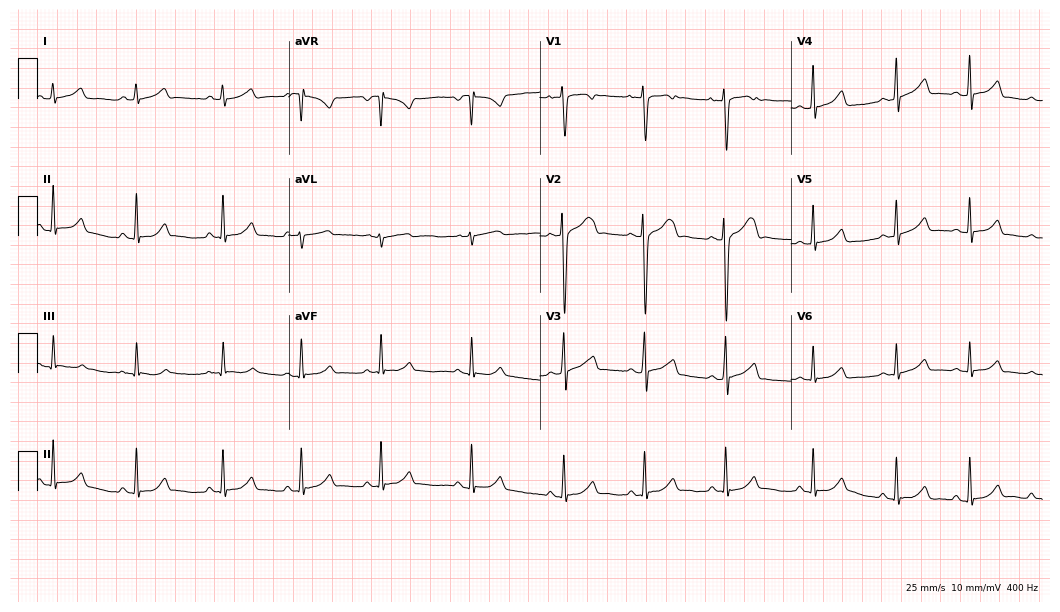
Resting 12-lead electrocardiogram (10.2-second recording at 400 Hz). Patient: a woman, 17 years old. Read as a normal ECG.